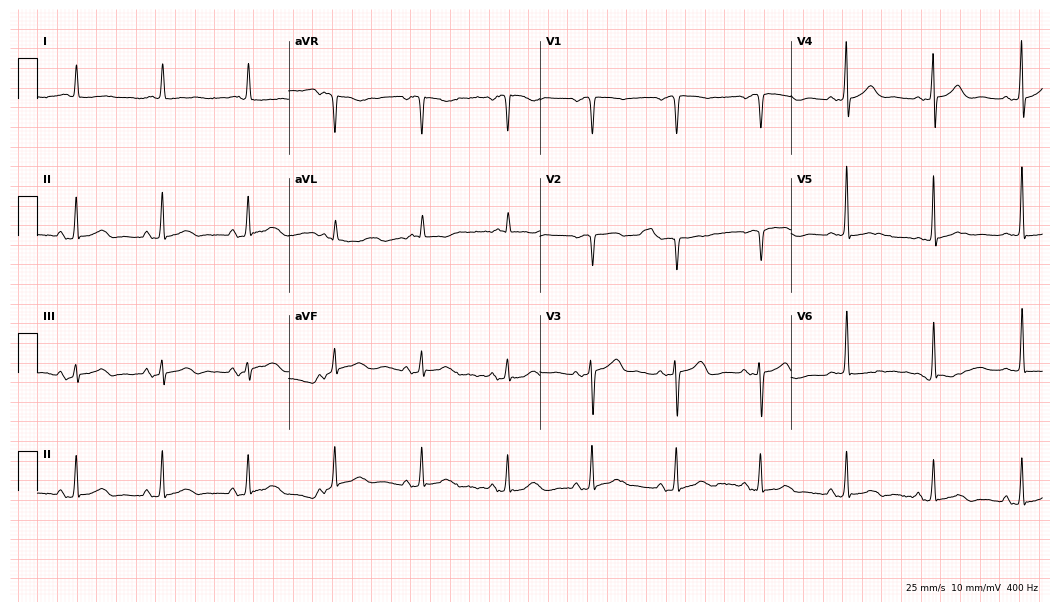
12-lead ECG (10.2-second recording at 400 Hz) from a woman, 83 years old. Screened for six findings — first-degree AV block, right bundle branch block, left bundle branch block, sinus bradycardia, atrial fibrillation, sinus tachycardia — none is recorded.